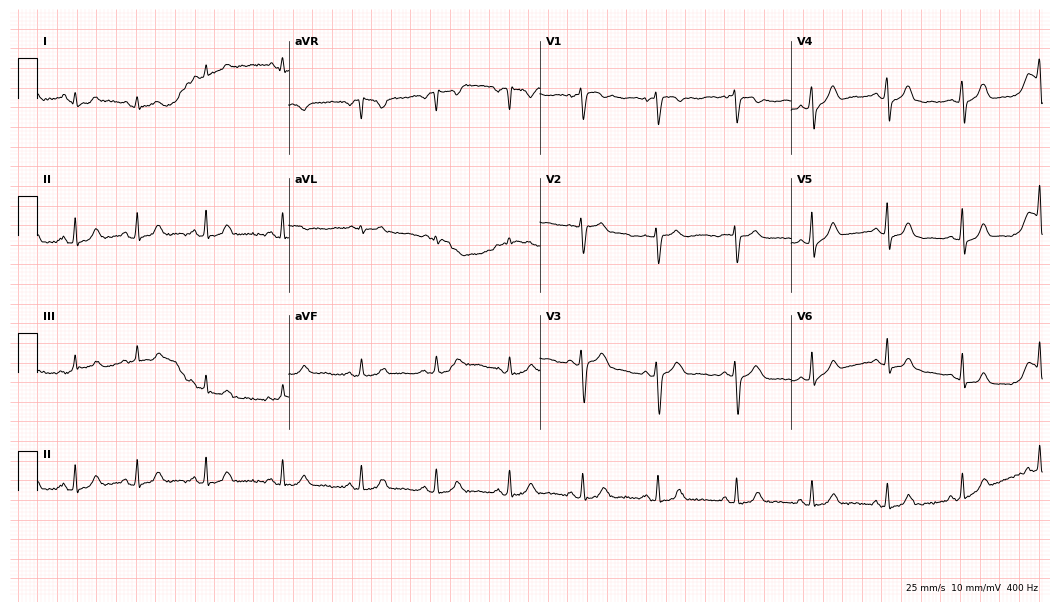
Electrocardiogram (10.2-second recording at 400 Hz), a 28-year-old woman. Overall reading on record: normal ECG.